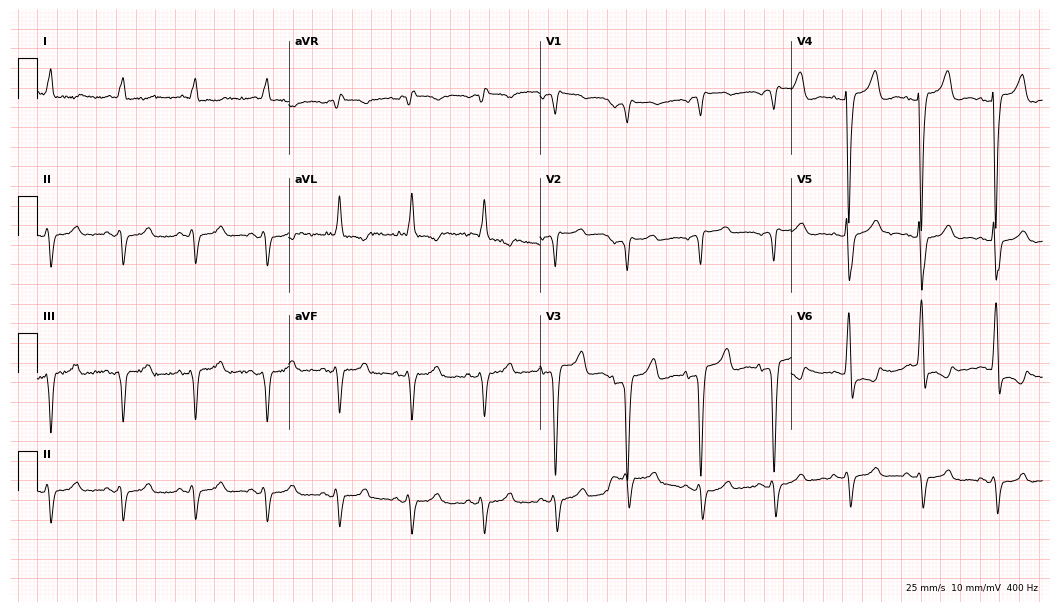
Standard 12-lead ECG recorded from an 81-year-old woman (10.2-second recording at 400 Hz). None of these six findings is recorded: first-degree AV block, right bundle branch block, left bundle branch block, sinus bradycardia, atrial fibrillation, sinus tachycardia. Other findings, if any, are not listed.